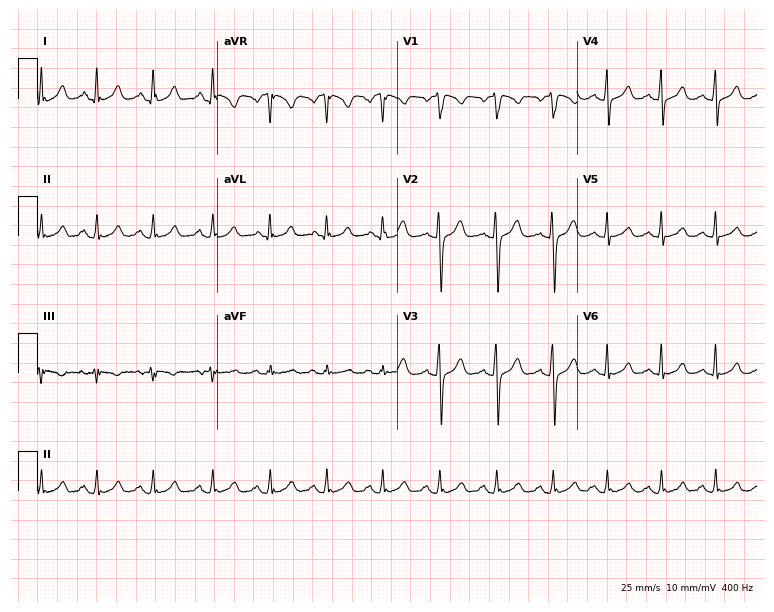
12-lead ECG from an 18-year-old man. Labelled as a normal ECG.